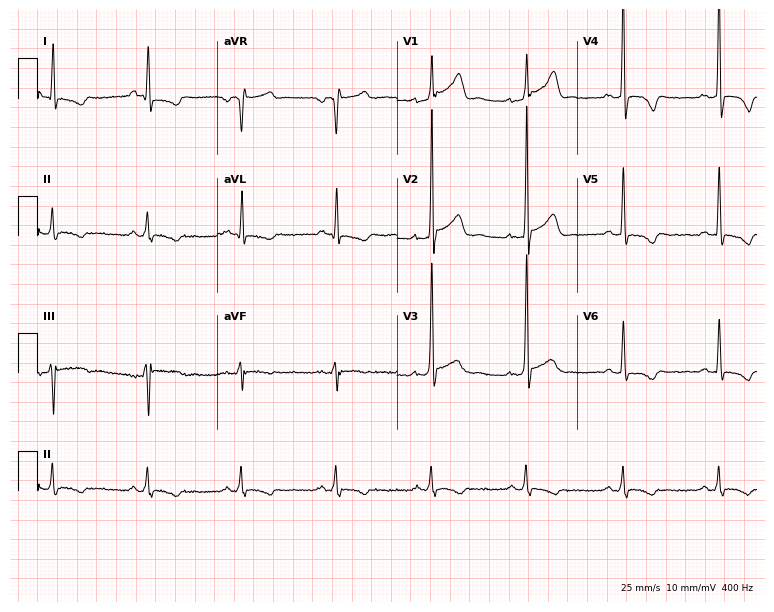
12-lead ECG (7.3-second recording at 400 Hz) from a man, 56 years old. Screened for six findings — first-degree AV block, right bundle branch block, left bundle branch block, sinus bradycardia, atrial fibrillation, sinus tachycardia — none is recorded. Only these six findings were labelled.